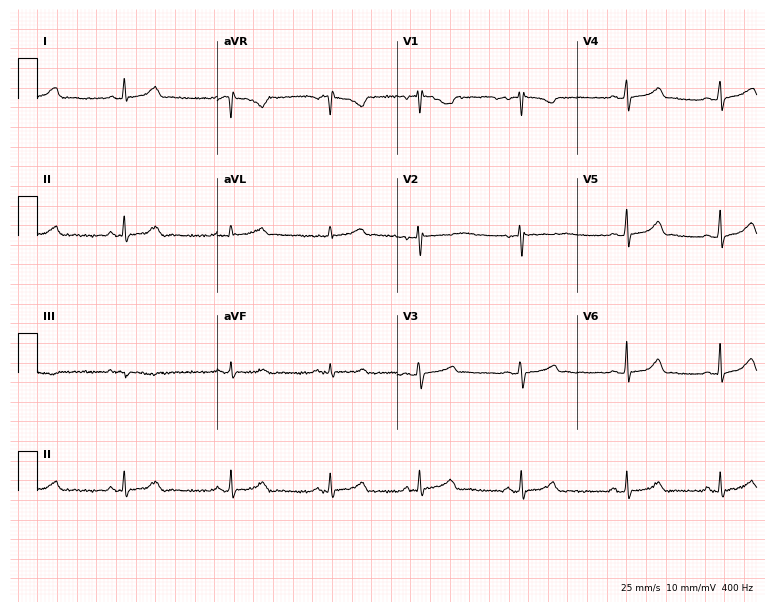
Standard 12-lead ECG recorded from a female patient, 27 years old (7.3-second recording at 400 Hz). Read as a normal ECG.